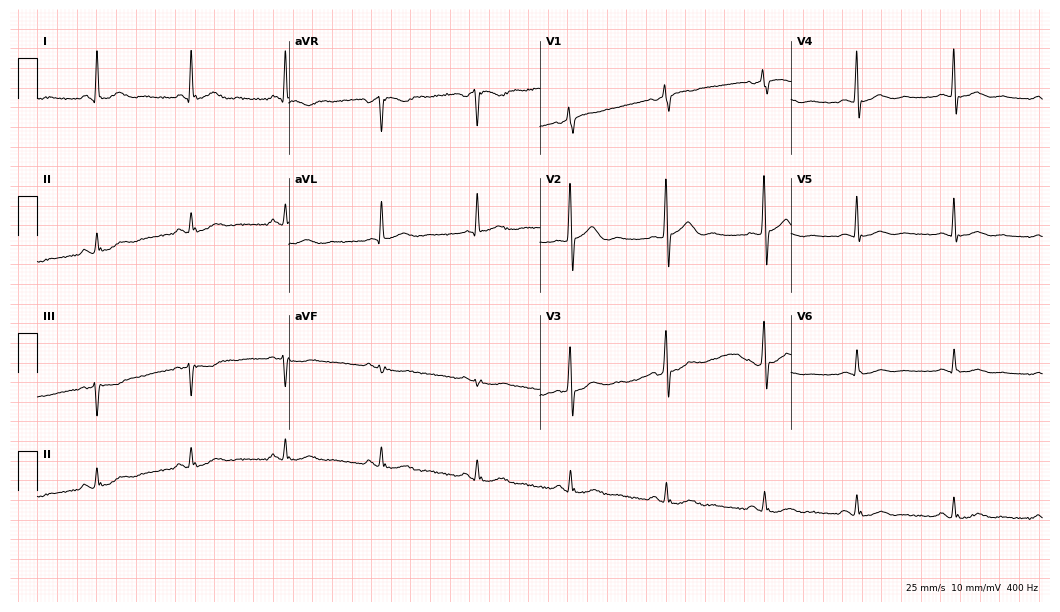
Standard 12-lead ECG recorded from a male patient, 68 years old. Read as a normal ECG.